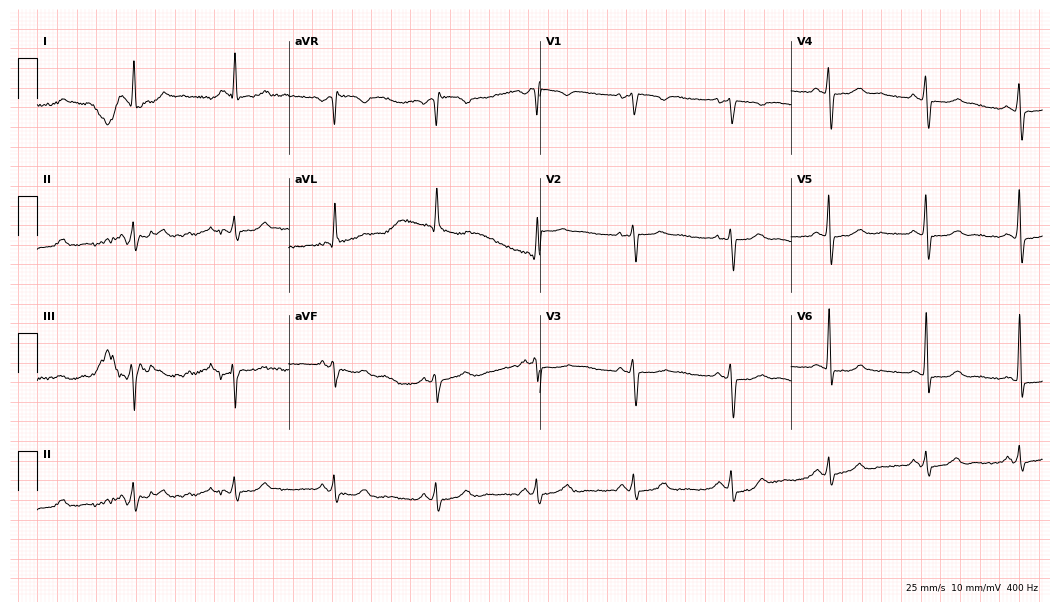
ECG — a female patient, 44 years old. Screened for six findings — first-degree AV block, right bundle branch block (RBBB), left bundle branch block (LBBB), sinus bradycardia, atrial fibrillation (AF), sinus tachycardia — none is recorded.